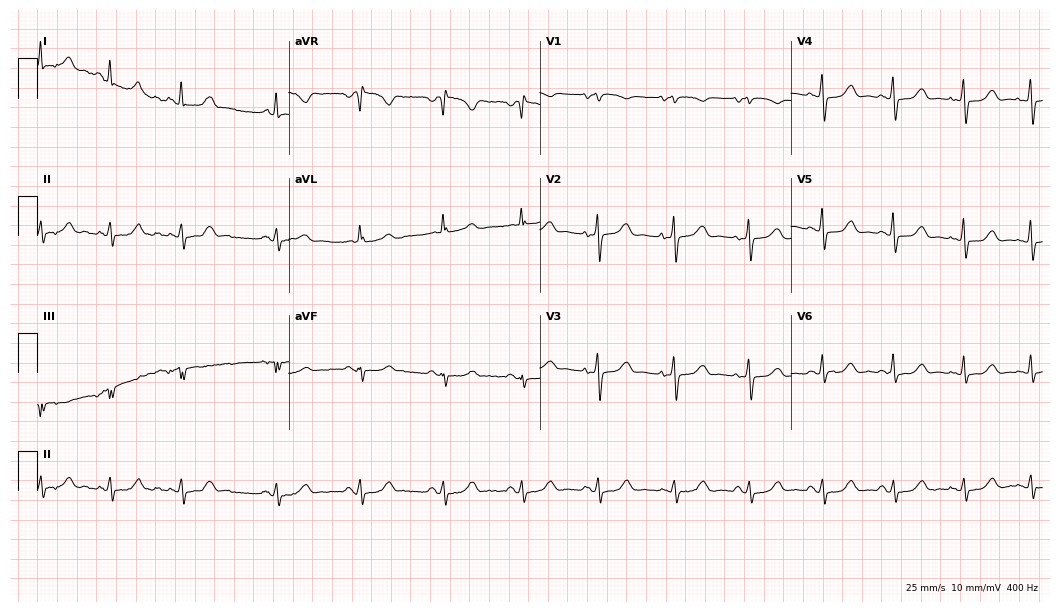
Standard 12-lead ECG recorded from a woman, 53 years old (10.2-second recording at 400 Hz). None of these six findings is recorded: first-degree AV block, right bundle branch block, left bundle branch block, sinus bradycardia, atrial fibrillation, sinus tachycardia. Other findings, if any, are not listed.